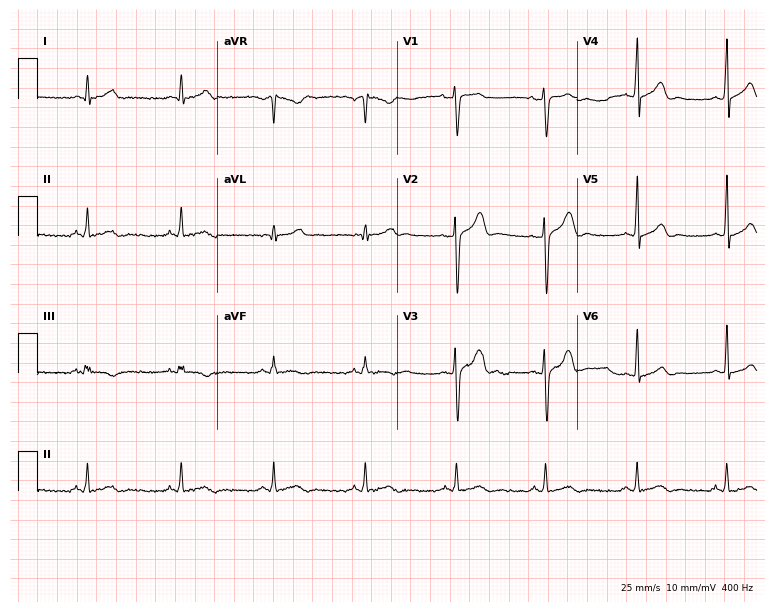
Resting 12-lead electrocardiogram. Patient: a 21-year-old male. None of these six findings is recorded: first-degree AV block, right bundle branch block, left bundle branch block, sinus bradycardia, atrial fibrillation, sinus tachycardia.